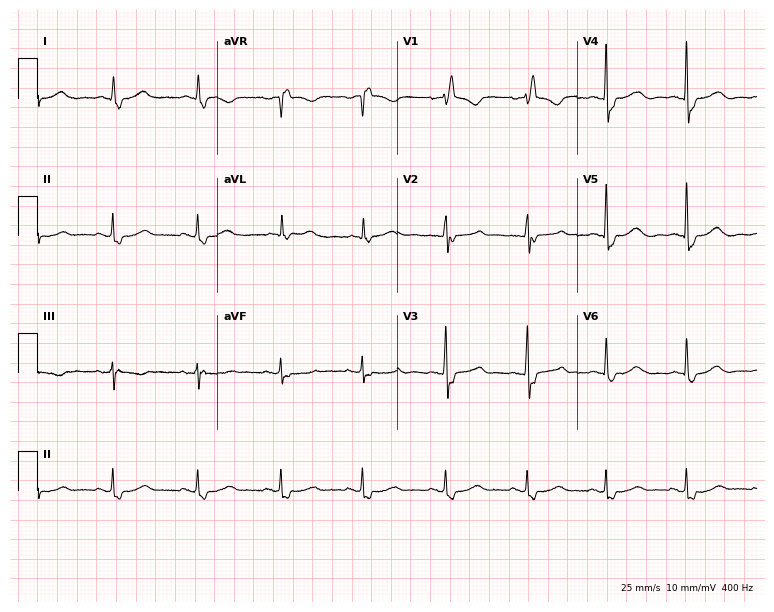
12-lead ECG from a 77-year-old woman (7.3-second recording at 400 Hz). Shows right bundle branch block (RBBB).